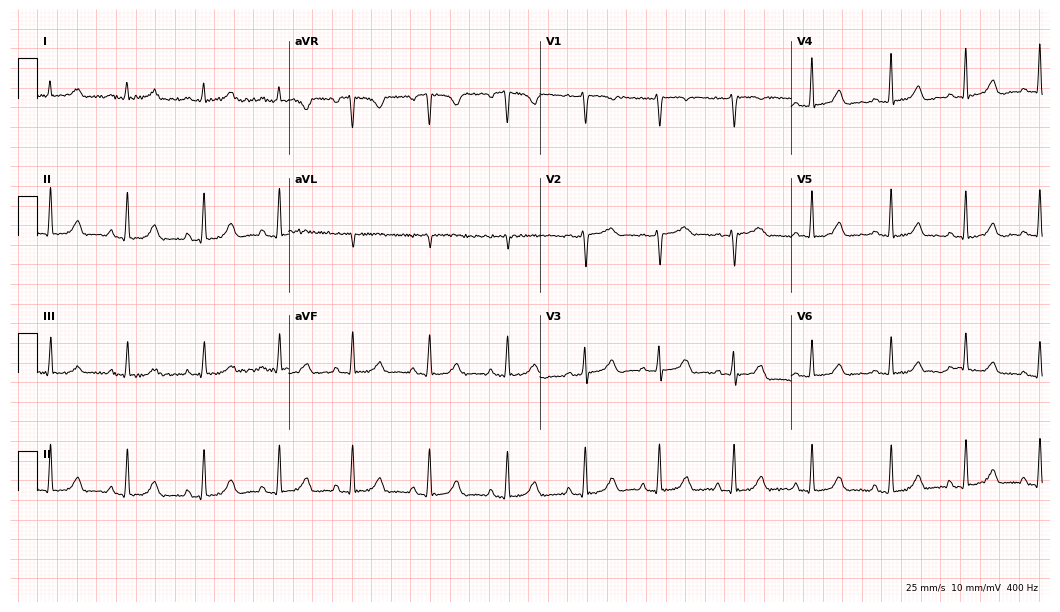
12-lead ECG from a woman, 54 years old. Labelled as a normal ECG.